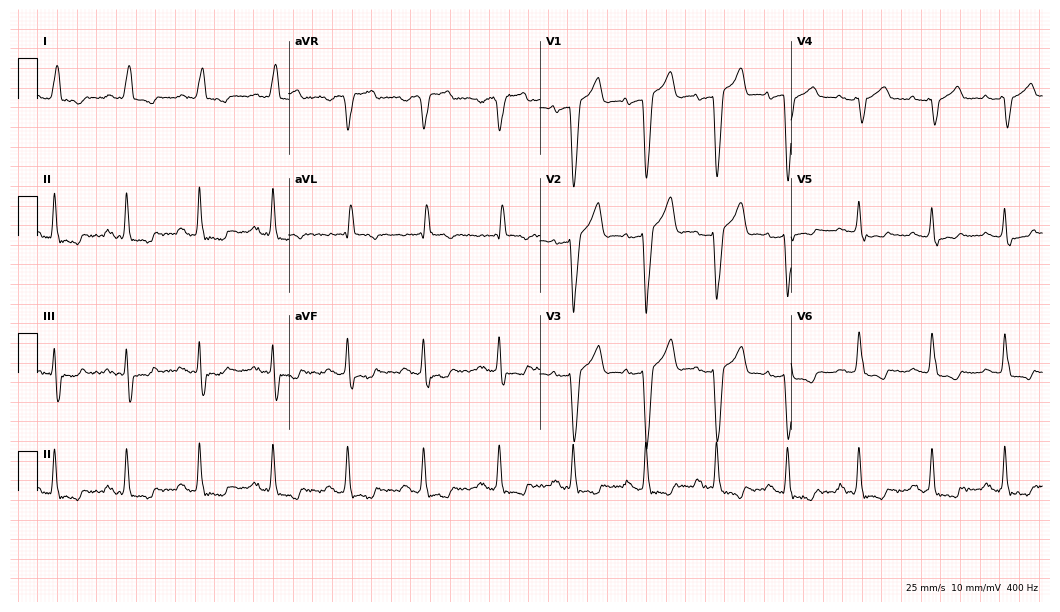
ECG — a male, 69 years old. Findings include left bundle branch block.